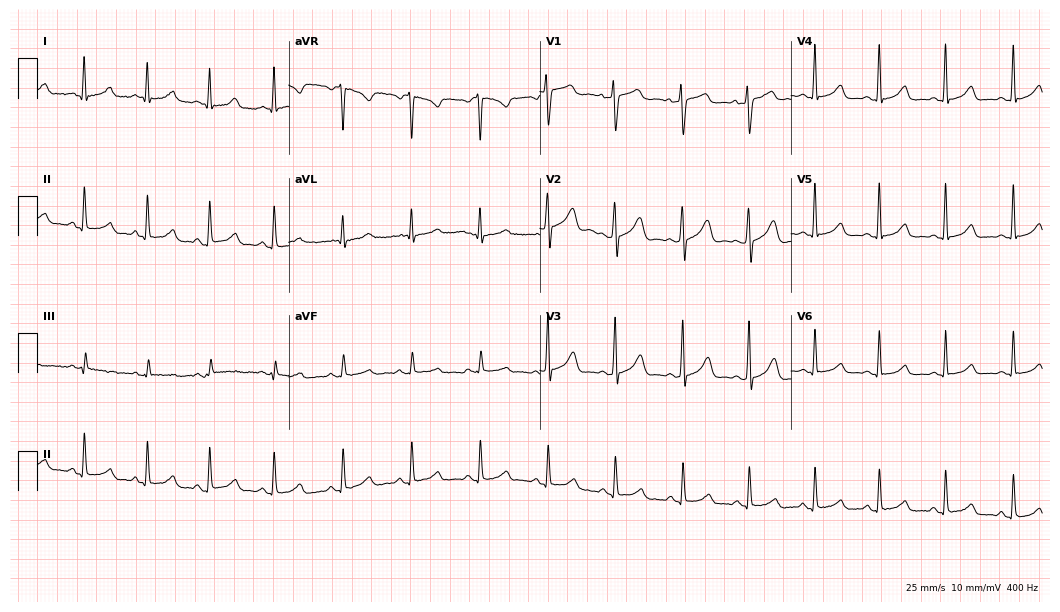
ECG (10.2-second recording at 400 Hz) — a female patient, 35 years old. Labelled as a normal ECG.